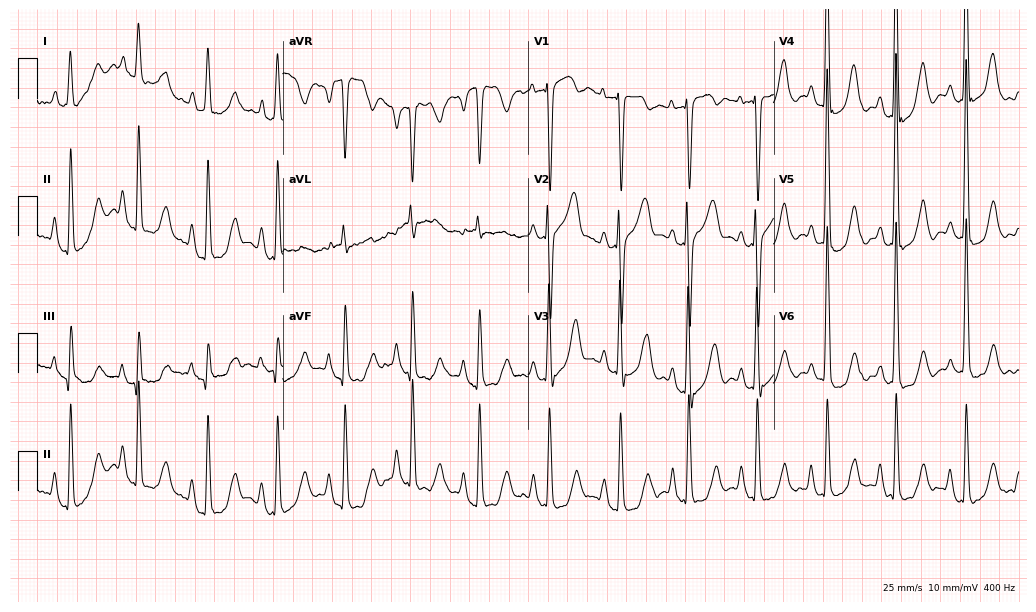
12-lead ECG from an 85-year-old female patient. No first-degree AV block, right bundle branch block, left bundle branch block, sinus bradycardia, atrial fibrillation or sinus tachycardia recorded for this tracing.